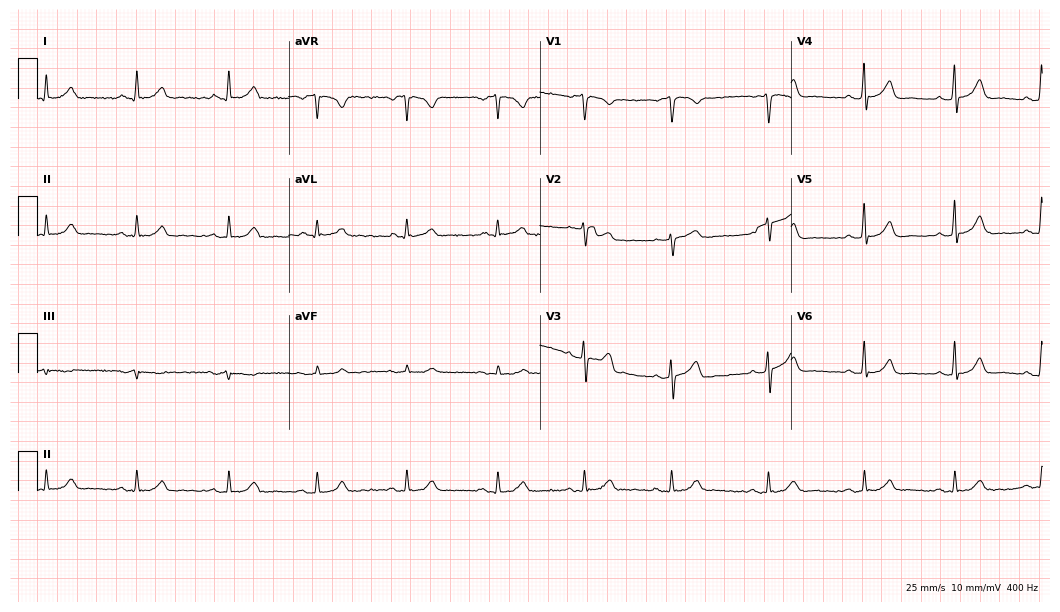
12-lead ECG (10.2-second recording at 400 Hz) from a male, 35 years old. Labelled as a normal ECG.